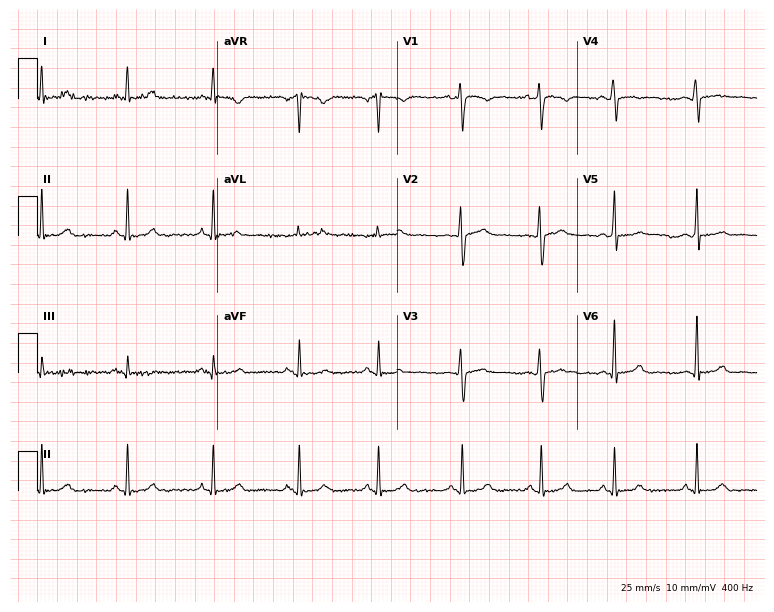
Electrocardiogram, a woman, 35 years old. Of the six screened findings (first-degree AV block, right bundle branch block (RBBB), left bundle branch block (LBBB), sinus bradycardia, atrial fibrillation (AF), sinus tachycardia), none is recorded.